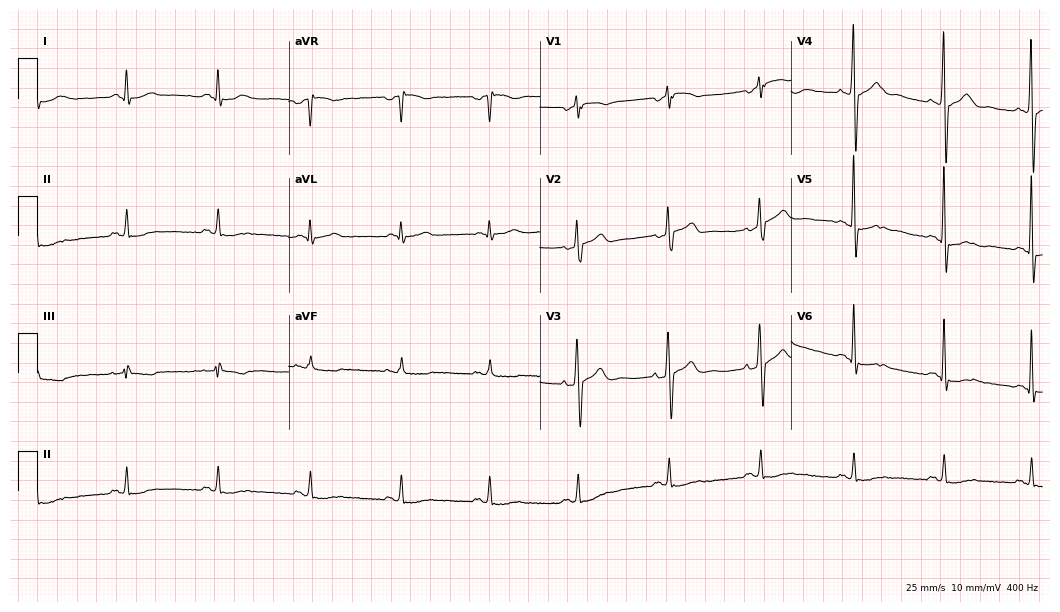
Resting 12-lead electrocardiogram. Patient: a male, 58 years old. None of these six findings is recorded: first-degree AV block, right bundle branch block, left bundle branch block, sinus bradycardia, atrial fibrillation, sinus tachycardia. Only these six findings were labelled.